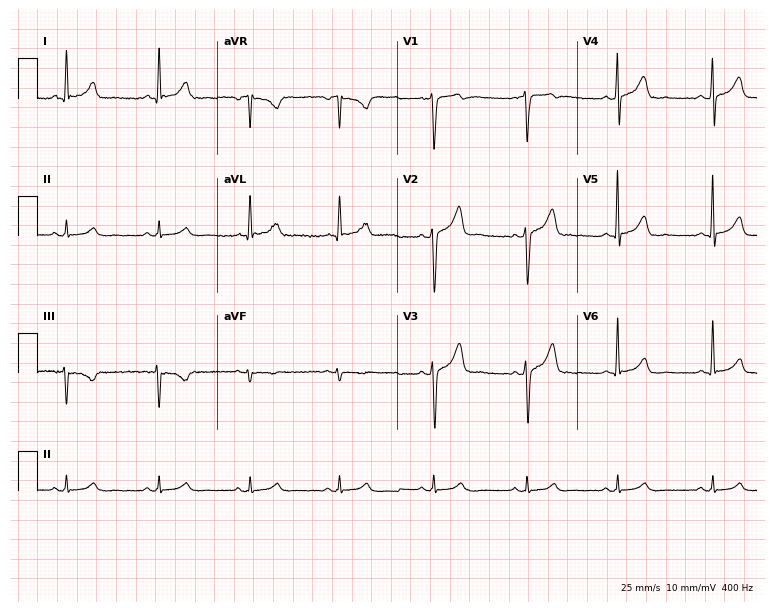
Resting 12-lead electrocardiogram (7.3-second recording at 400 Hz). Patient: a 56-year-old man. Read as a normal ECG.